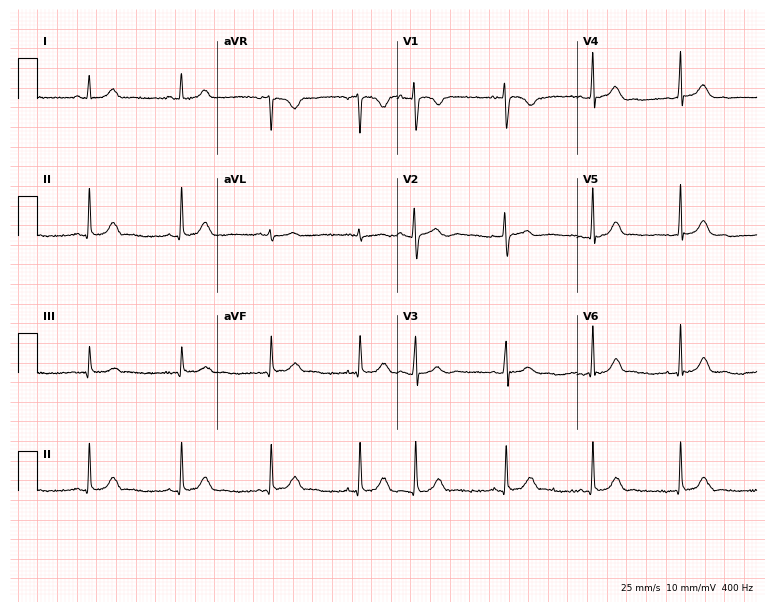
12-lead ECG from a female patient, 17 years old. Recorded interpretation: within normal limits.